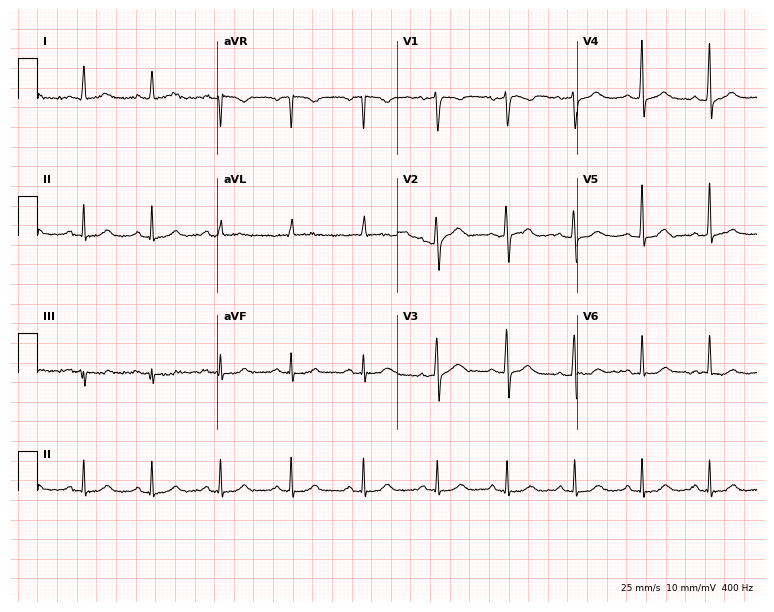
Standard 12-lead ECG recorded from a woman, 48 years old (7.3-second recording at 400 Hz). None of these six findings is recorded: first-degree AV block, right bundle branch block (RBBB), left bundle branch block (LBBB), sinus bradycardia, atrial fibrillation (AF), sinus tachycardia. Findings outside these six are not listed.